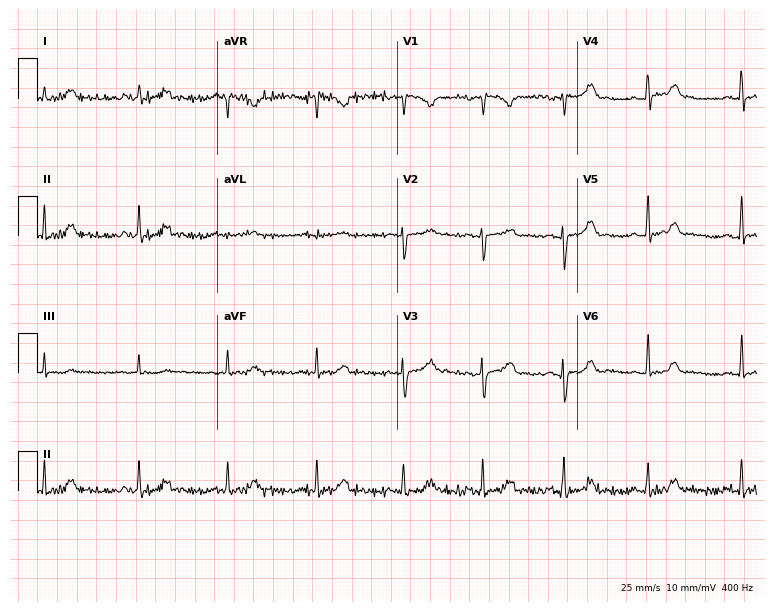
Resting 12-lead electrocardiogram. Patient: a 22-year-old female. Read as a normal ECG.